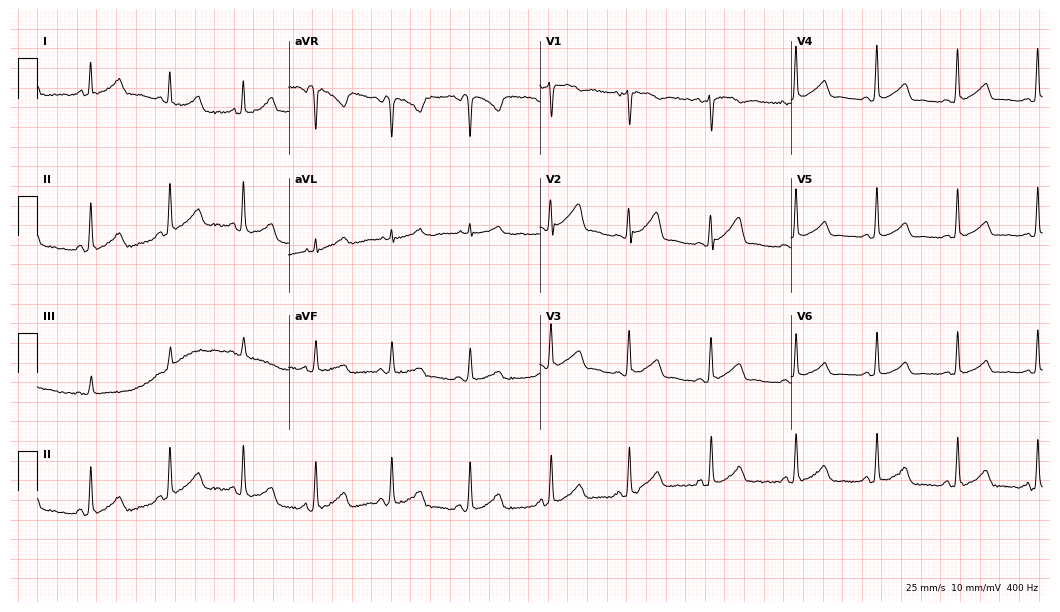
ECG — a female patient, 21 years old. Labelled as a normal ECG.